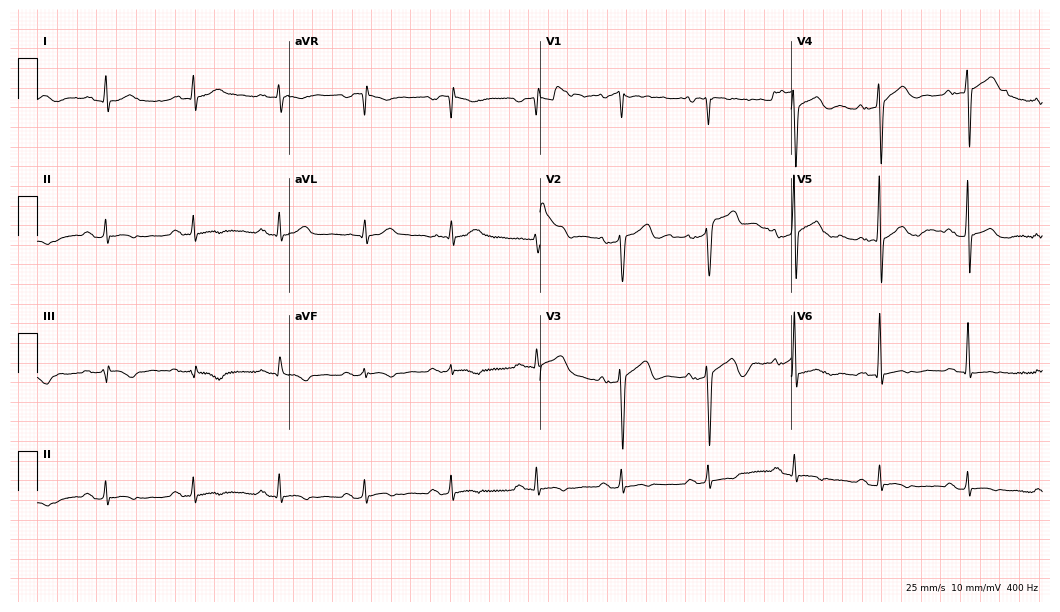
Electrocardiogram, a 58-year-old male patient. Of the six screened findings (first-degree AV block, right bundle branch block, left bundle branch block, sinus bradycardia, atrial fibrillation, sinus tachycardia), none is recorded. Findings outside these six are not listed.